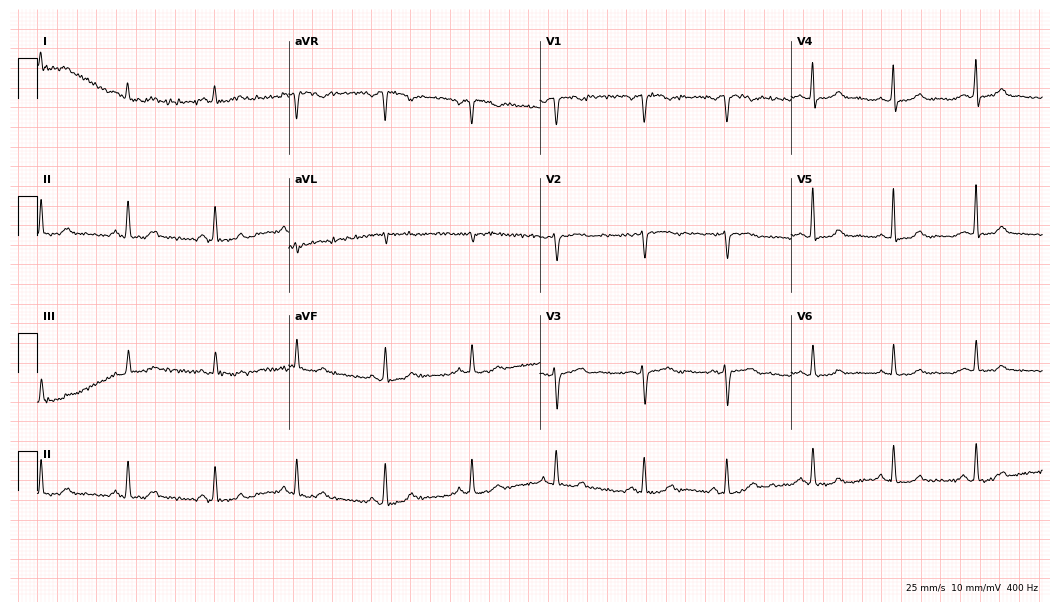
Electrocardiogram (10.2-second recording at 400 Hz), a female, 90 years old or older. Overall reading on record: normal ECG.